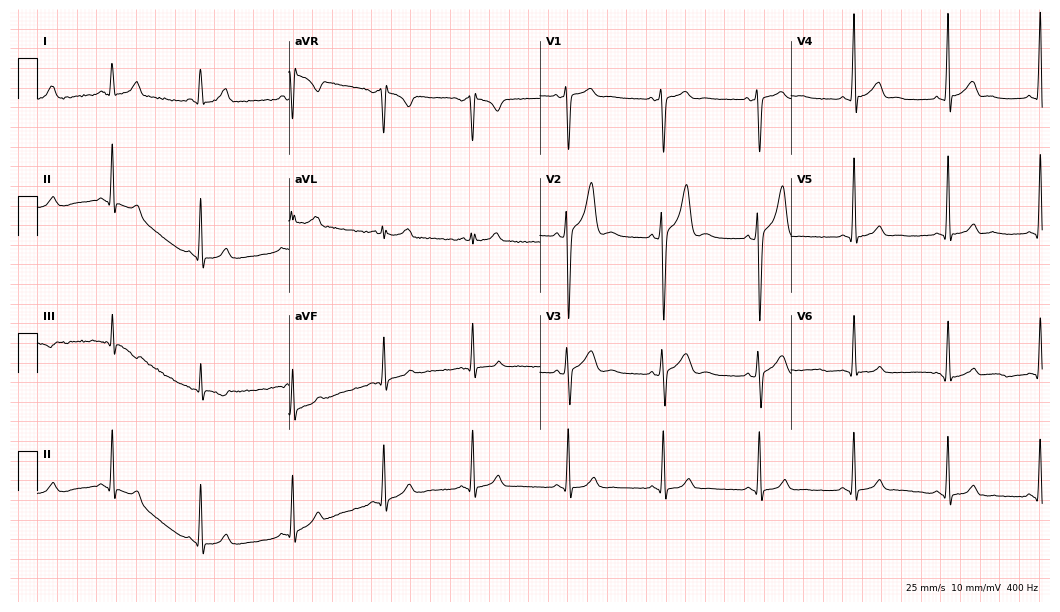
Standard 12-lead ECG recorded from a 19-year-old male. Read as a normal ECG.